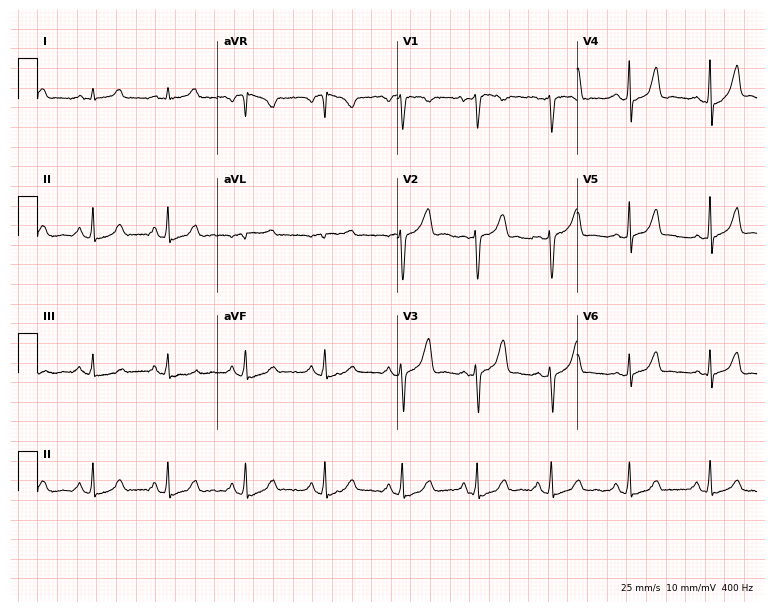
Resting 12-lead electrocardiogram (7.3-second recording at 400 Hz). Patient: a female, 30 years old. None of these six findings is recorded: first-degree AV block, right bundle branch block, left bundle branch block, sinus bradycardia, atrial fibrillation, sinus tachycardia.